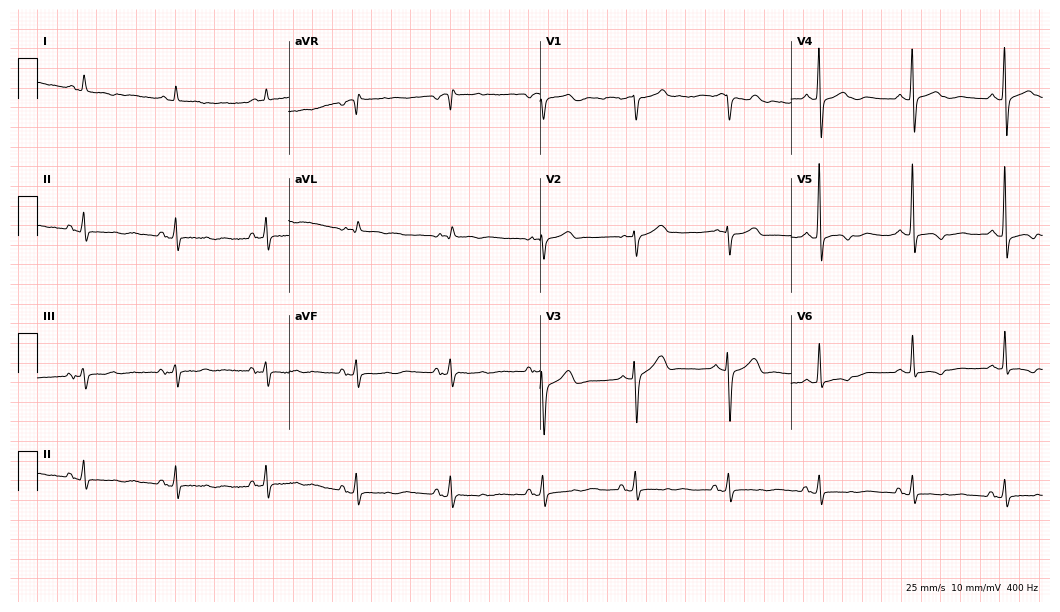
Electrocardiogram (10.2-second recording at 400 Hz), a male, 72 years old. Of the six screened findings (first-degree AV block, right bundle branch block, left bundle branch block, sinus bradycardia, atrial fibrillation, sinus tachycardia), none is recorded.